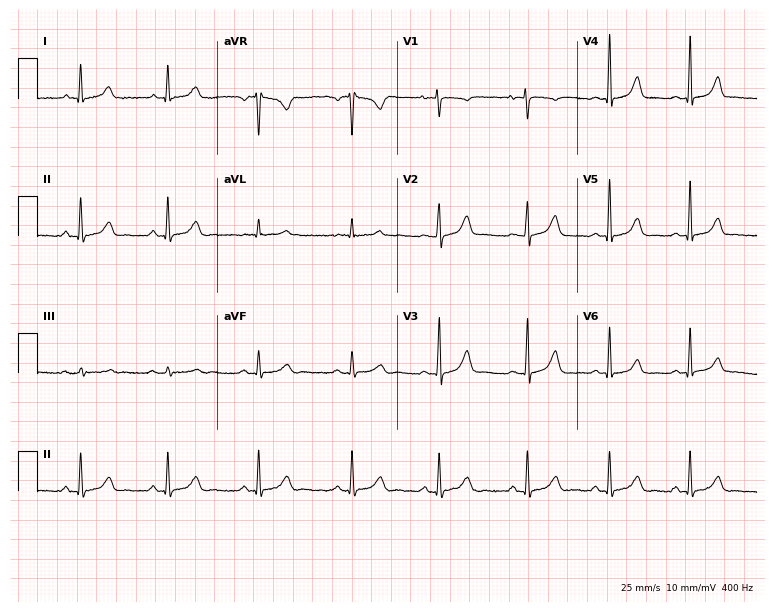
Resting 12-lead electrocardiogram (7.3-second recording at 400 Hz). Patient: a female, 41 years old. None of these six findings is recorded: first-degree AV block, right bundle branch block, left bundle branch block, sinus bradycardia, atrial fibrillation, sinus tachycardia.